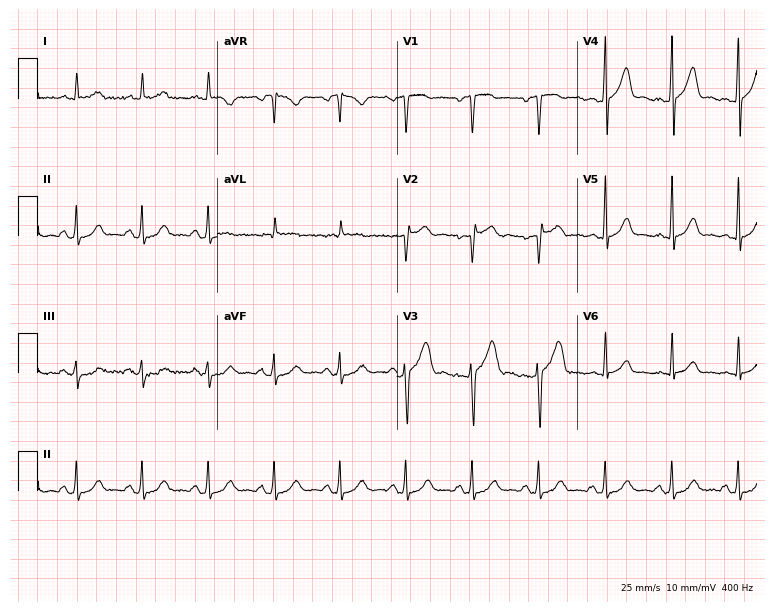
Standard 12-lead ECG recorded from a 33-year-old male patient. None of these six findings is recorded: first-degree AV block, right bundle branch block, left bundle branch block, sinus bradycardia, atrial fibrillation, sinus tachycardia. Findings outside these six are not listed.